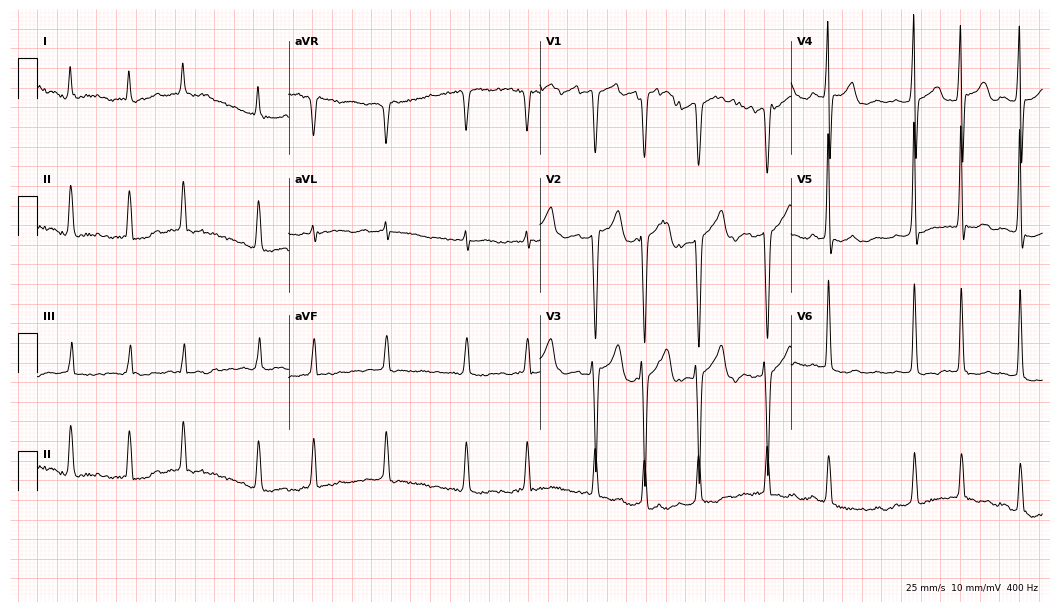
Electrocardiogram, a man, 65 years old. Interpretation includes atrial fibrillation.